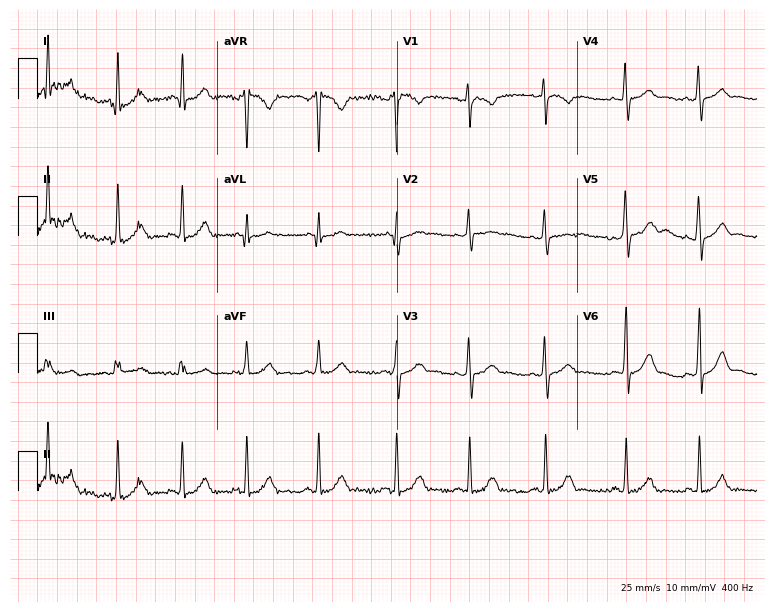
12-lead ECG from a 31-year-old female patient (7.3-second recording at 400 Hz). Recorded interpretation: within normal limits.